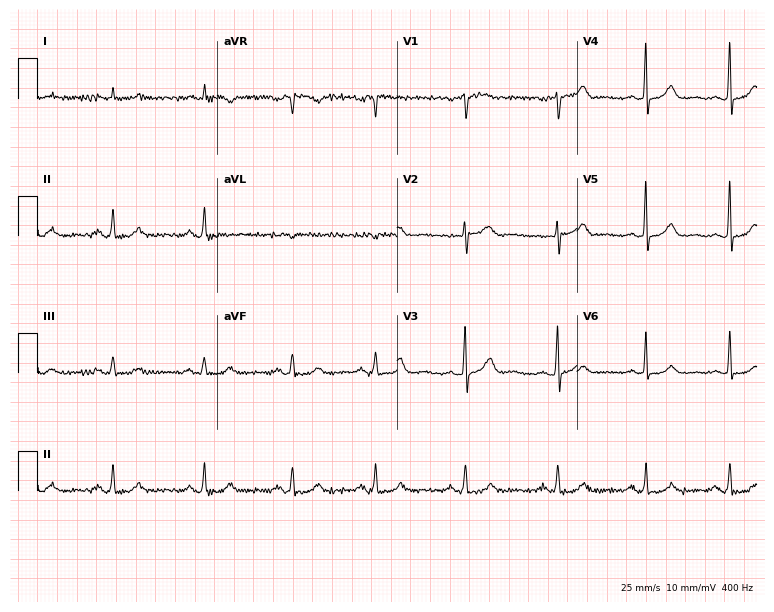
Standard 12-lead ECG recorded from a 58-year-old female. Read as a normal ECG.